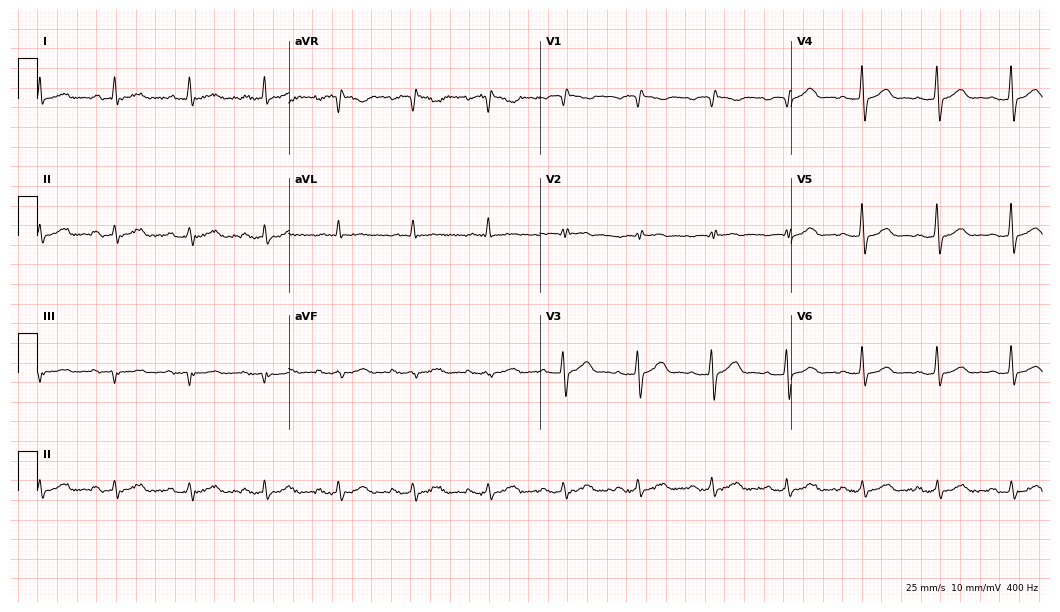
12-lead ECG from a male, 70 years old (10.2-second recording at 400 Hz). No first-degree AV block, right bundle branch block, left bundle branch block, sinus bradycardia, atrial fibrillation or sinus tachycardia recorded for this tracing.